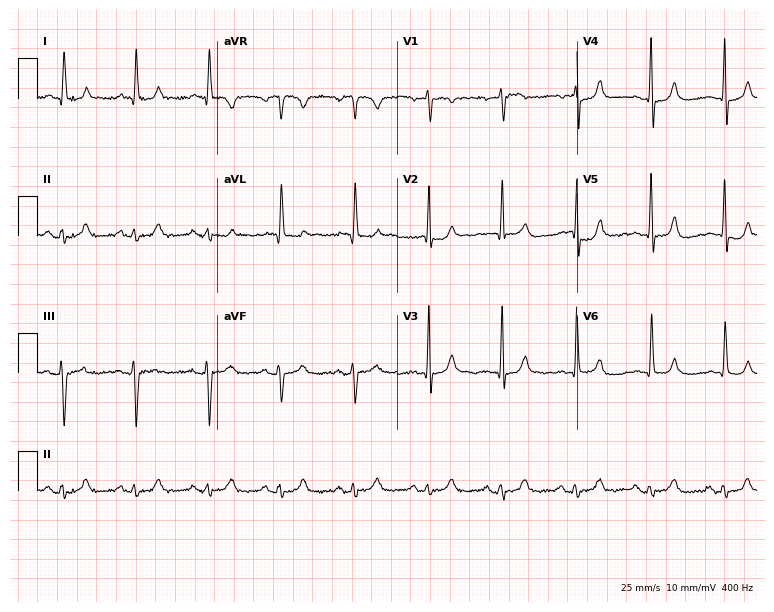
ECG (7.3-second recording at 400 Hz) — a 73-year-old male patient. Labelled as a normal ECG.